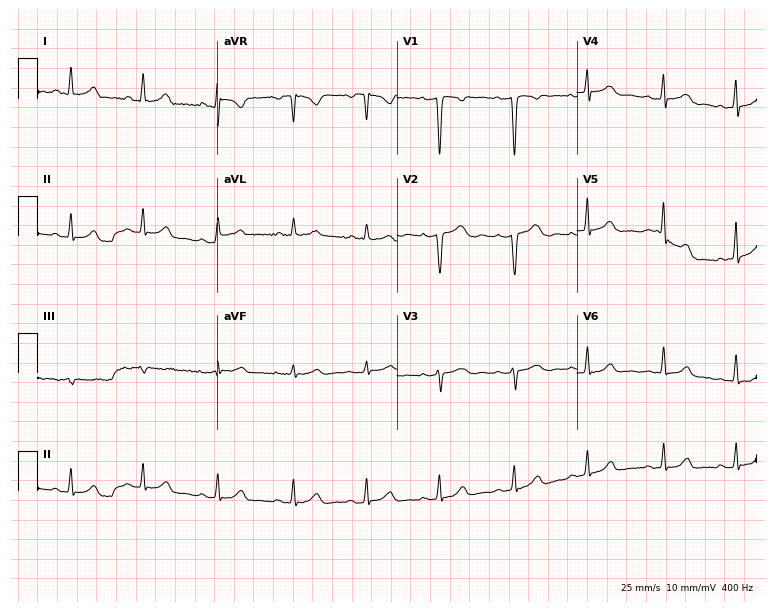
Electrocardiogram (7.3-second recording at 400 Hz), a female patient, 27 years old. Of the six screened findings (first-degree AV block, right bundle branch block, left bundle branch block, sinus bradycardia, atrial fibrillation, sinus tachycardia), none is recorded. Other findings, if any, are not listed.